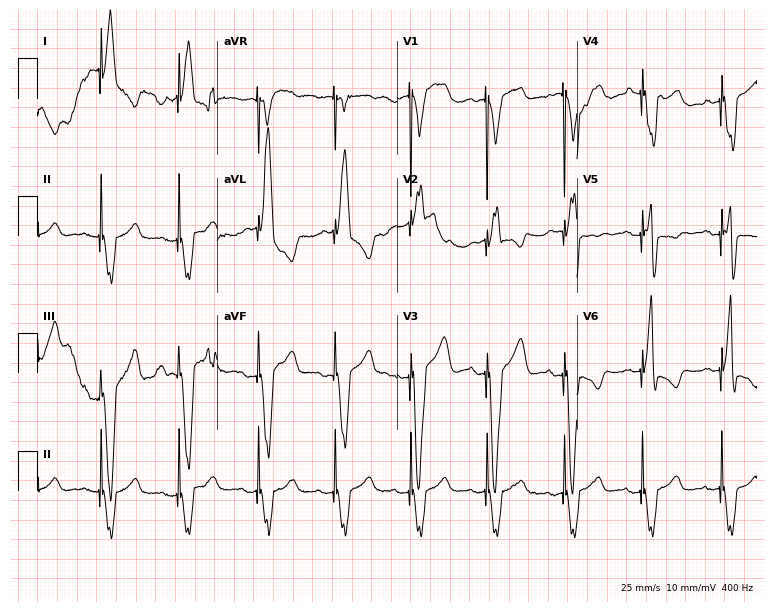
Electrocardiogram (7.3-second recording at 400 Hz), an 81-year-old male. Of the six screened findings (first-degree AV block, right bundle branch block, left bundle branch block, sinus bradycardia, atrial fibrillation, sinus tachycardia), none is recorded.